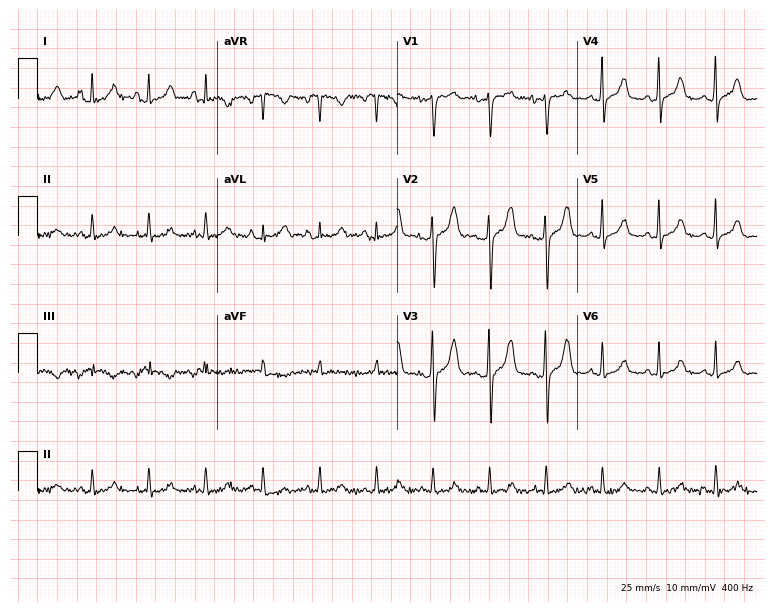
12-lead ECG from a 77-year-old female. Shows sinus tachycardia (a sinus rate of 100 beats per minute or more).